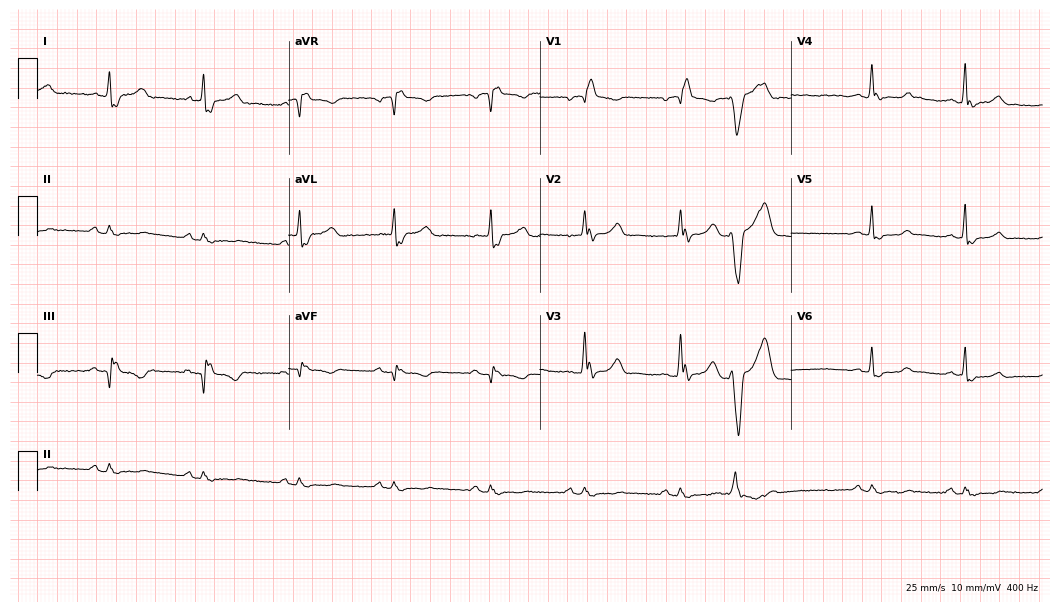
Standard 12-lead ECG recorded from a woman, 67 years old. The tracing shows right bundle branch block (RBBB).